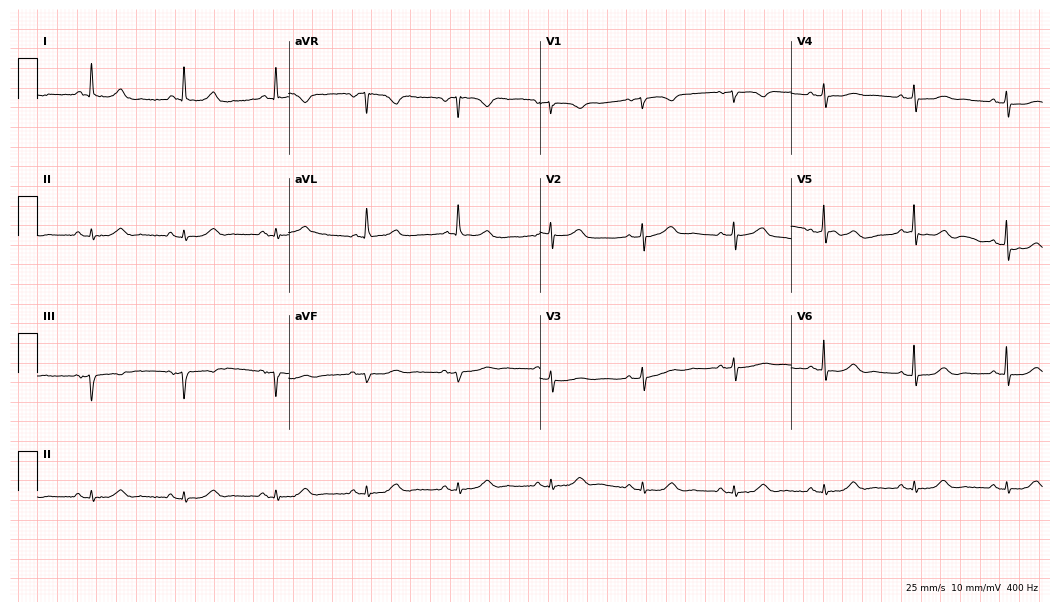
Standard 12-lead ECG recorded from a 70-year-old female patient (10.2-second recording at 400 Hz). Read as a normal ECG.